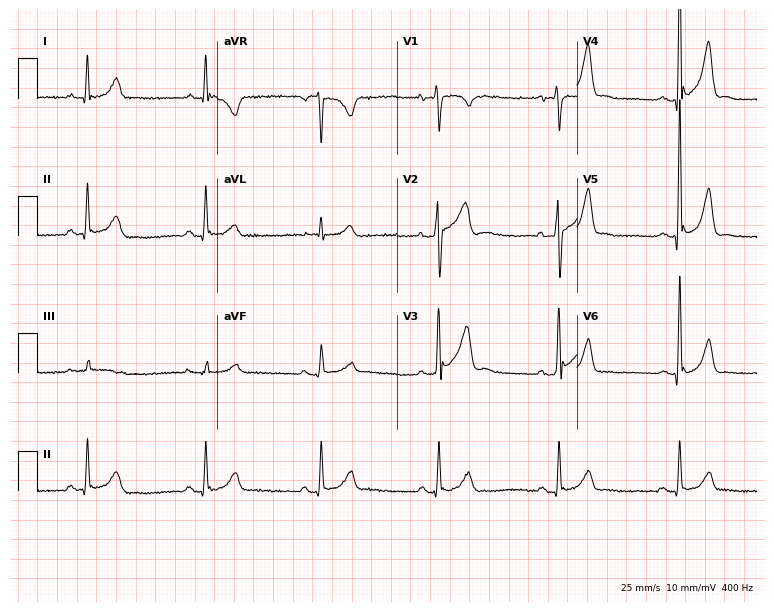
Electrocardiogram, a man, 46 years old. Overall reading on record: normal ECG.